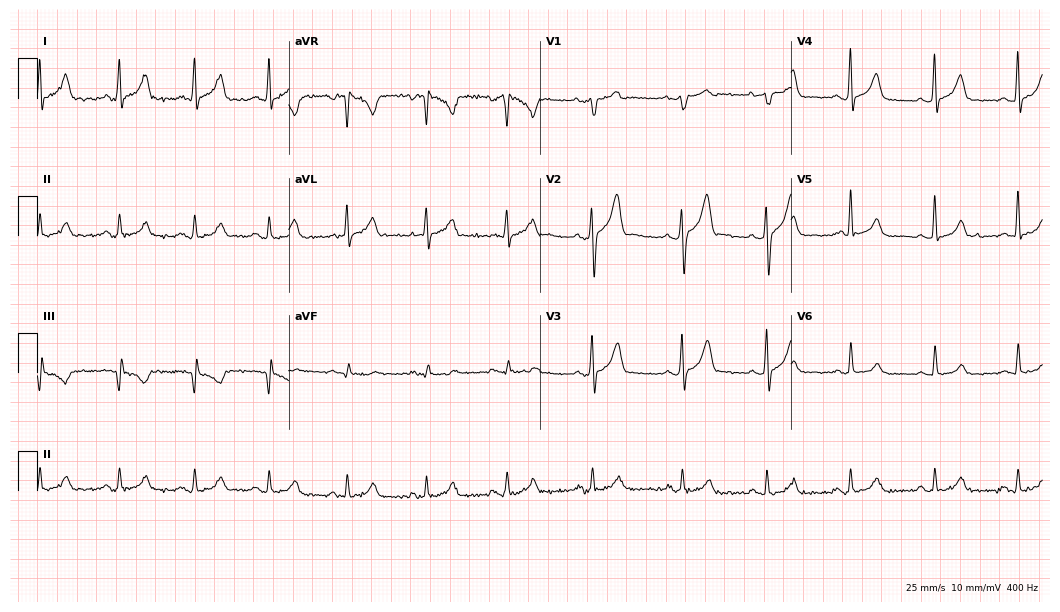
12-lead ECG (10.2-second recording at 400 Hz) from a man, 23 years old. Screened for six findings — first-degree AV block, right bundle branch block, left bundle branch block, sinus bradycardia, atrial fibrillation, sinus tachycardia — none is recorded. Other findings, if any, are not listed.